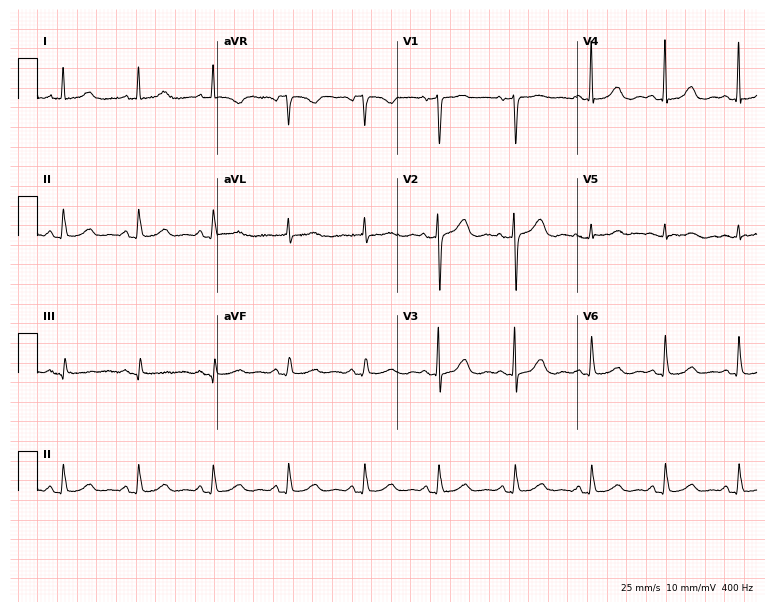
ECG (7.3-second recording at 400 Hz) — a female patient, 76 years old. Labelled as a normal ECG.